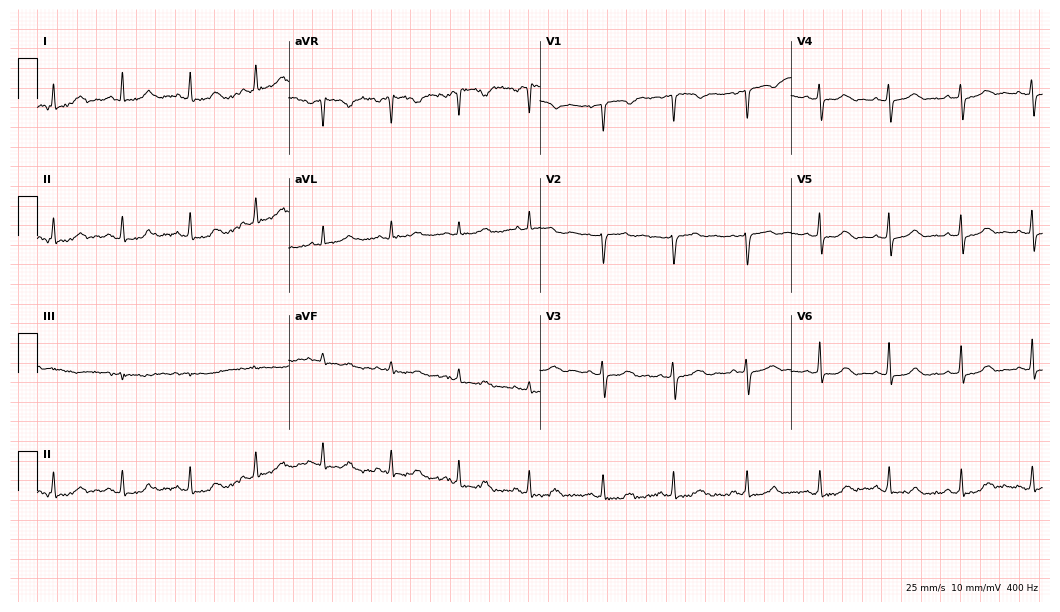
12-lead ECG from a female patient, 39 years old. Labelled as a normal ECG.